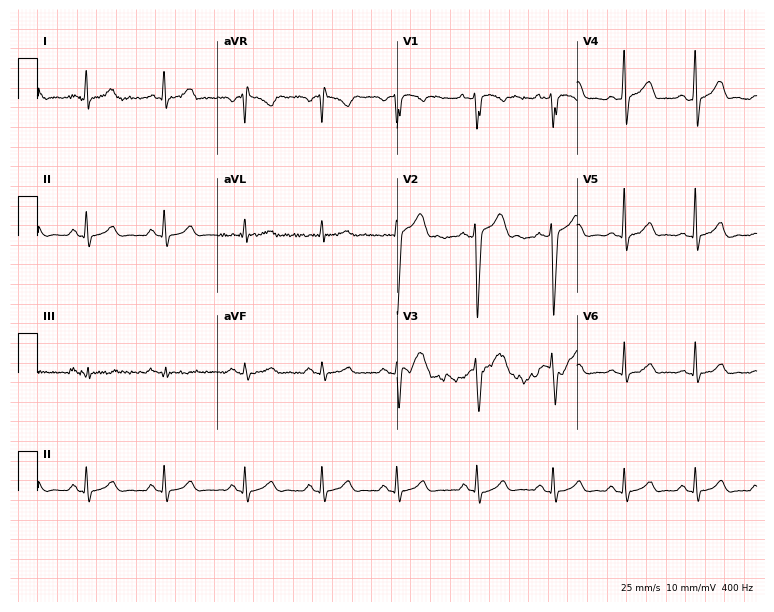
Electrocardiogram, a 34-year-old male patient. Overall reading on record: normal ECG.